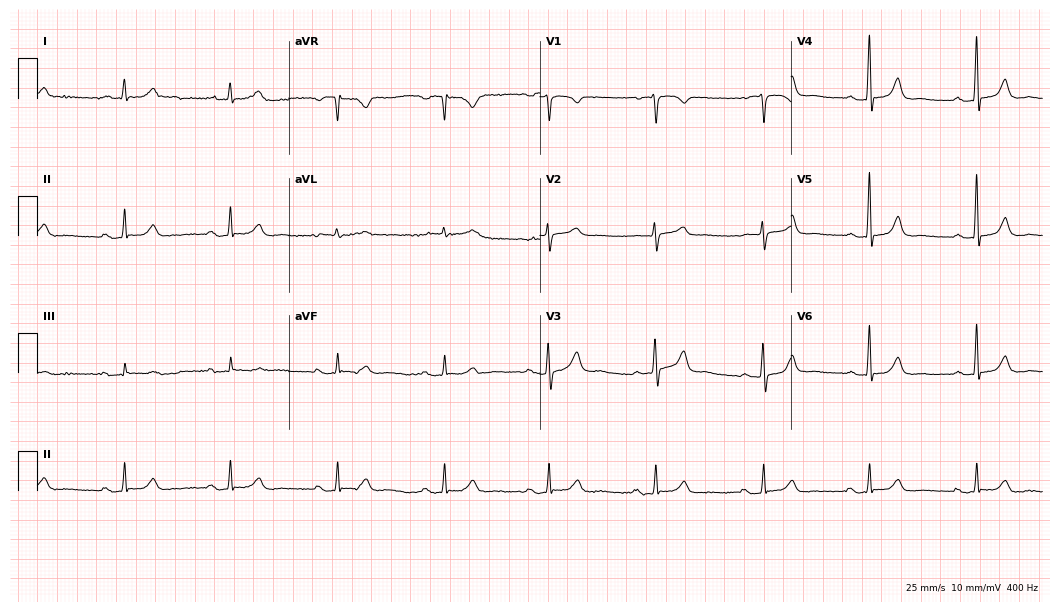
Electrocardiogram, a 73-year-old male. Of the six screened findings (first-degree AV block, right bundle branch block, left bundle branch block, sinus bradycardia, atrial fibrillation, sinus tachycardia), none is recorded. Findings outside these six are not listed.